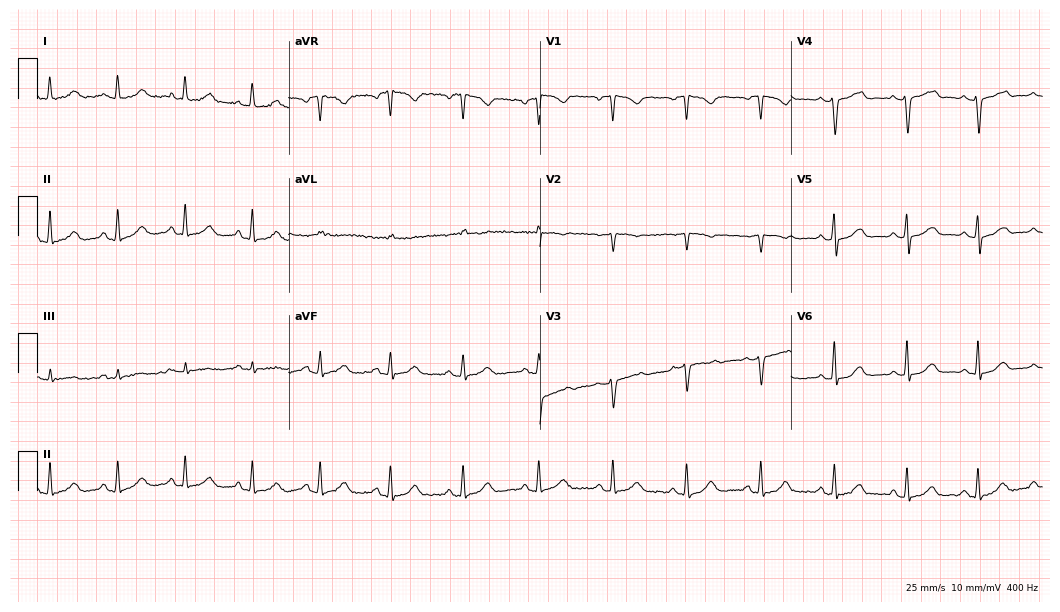
Resting 12-lead electrocardiogram (10.2-second recording at 400 Hz). Patient: a female, 45 years old. None of these six findings is recorded: first-degree AV block, right bundle branch block, left bundle branch block, sinus bradycardia, atrial fibrillation, sinus tachycardia.